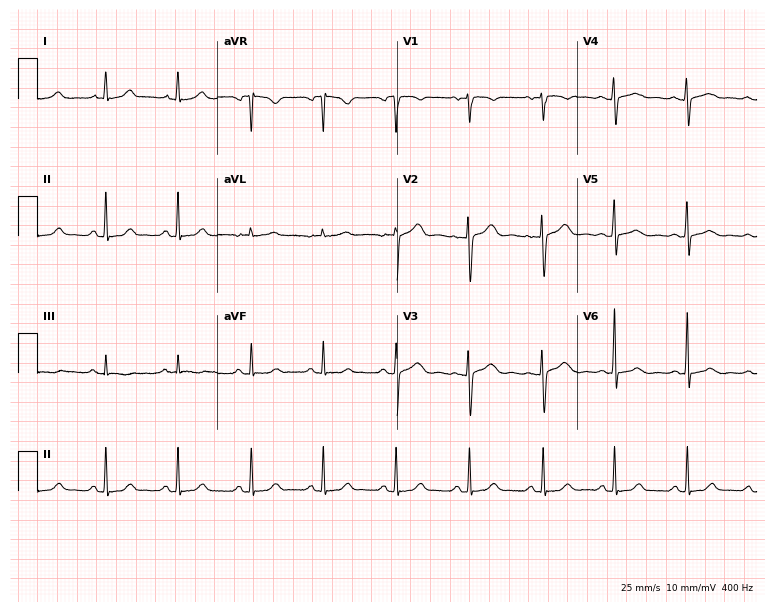
12-lead ECG (7.3-second recording at 400 Hz) from a female patient, 48 years old. Labelled as a normal ECG.